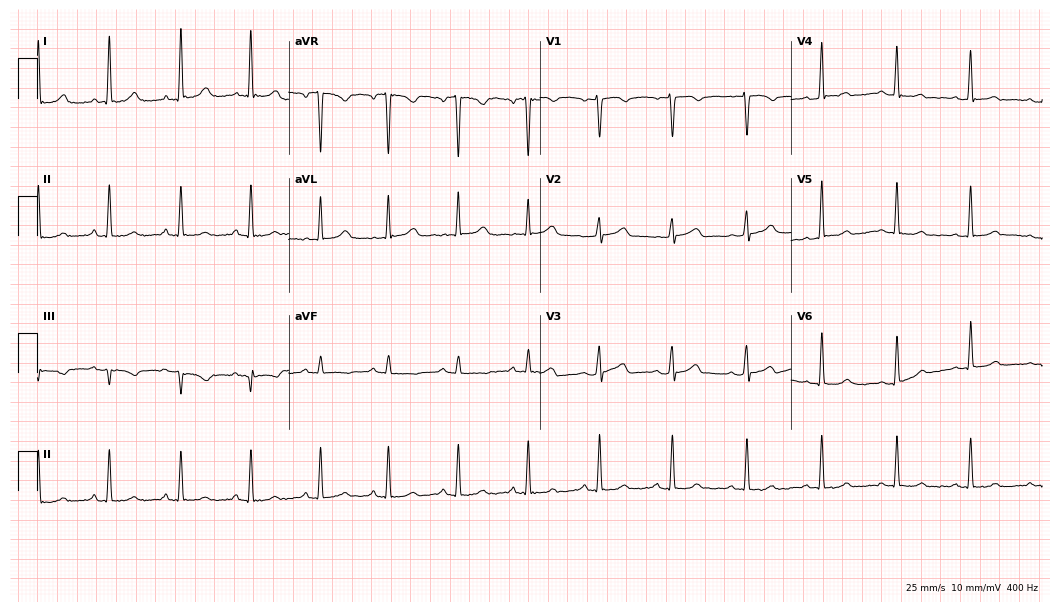
ECG (10.2-second recording at 400 Hz) — a female patient, 45 years old. Screened for six findings — first-degree AV block, right bundle branch block, left bundle branch block, sinus bradycardia, atrial fibrillation, sinus tachycardia — none is recorded. Other findings, if any, are not listed.